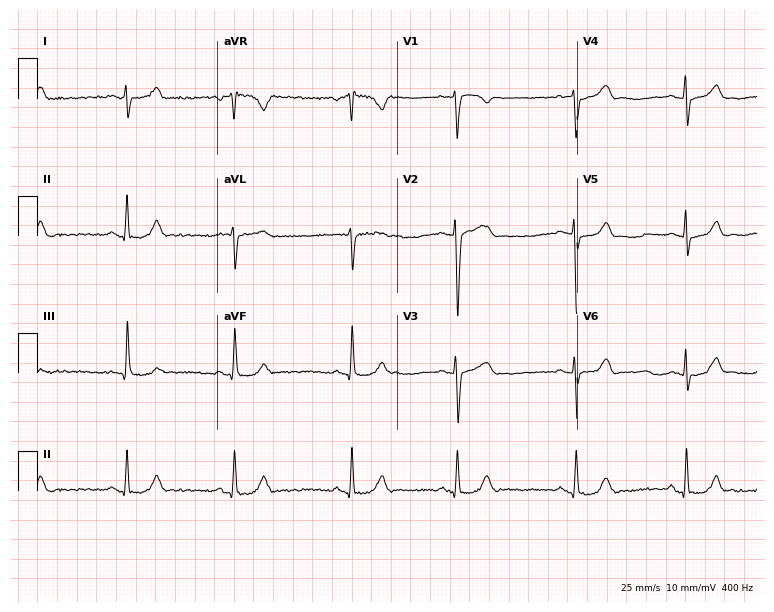
Electrocardiogram, a male, 28 years old. Overall reading on record: normal ECG.